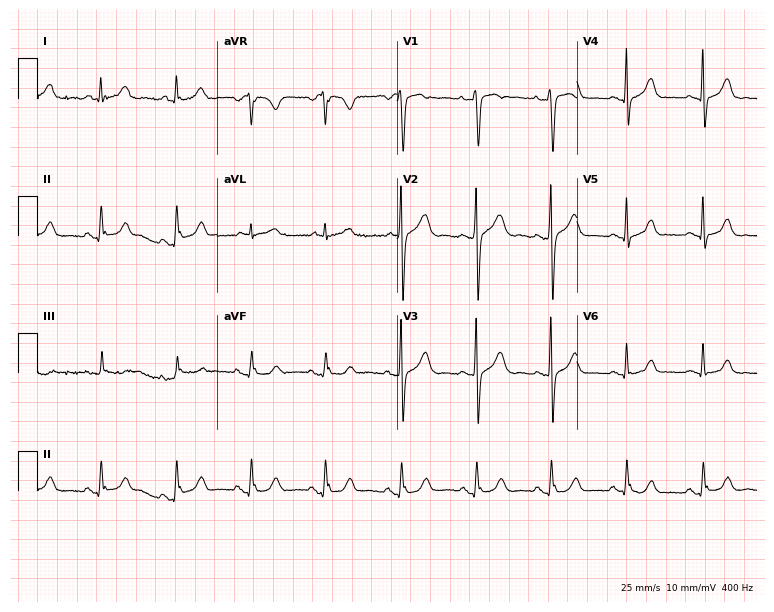
12-lead ECG from a female, 55 years old. Recorded interpretation: within normal limits.